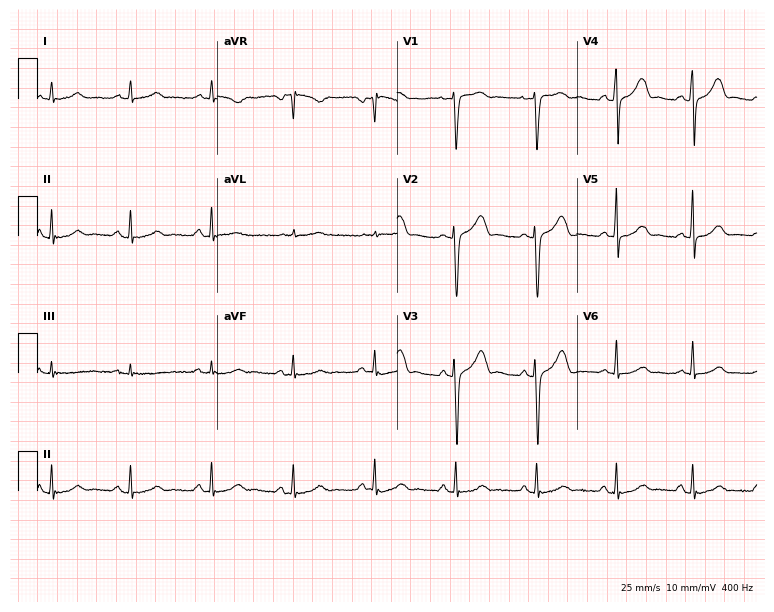
ECG (7.3-second recording at 400 Hz) — a female patient, 47 years old. Screened for six findings — first-degree AV block, right bundle branch block (RBBB), left bundle branch block (LBBB), sinus bradycardia, atrial fibrillation (AF), sinus tachycardia — none is recorded. Other findings, if any, are not listed.